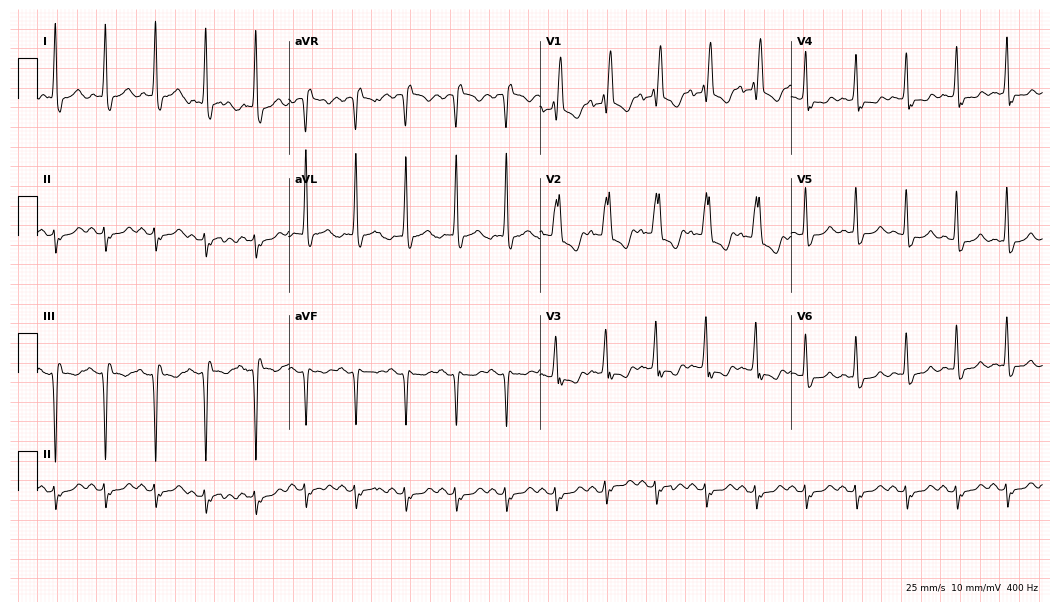
12-lead ECG from a 71-year-old female patient. Findings include right bundle branch block.